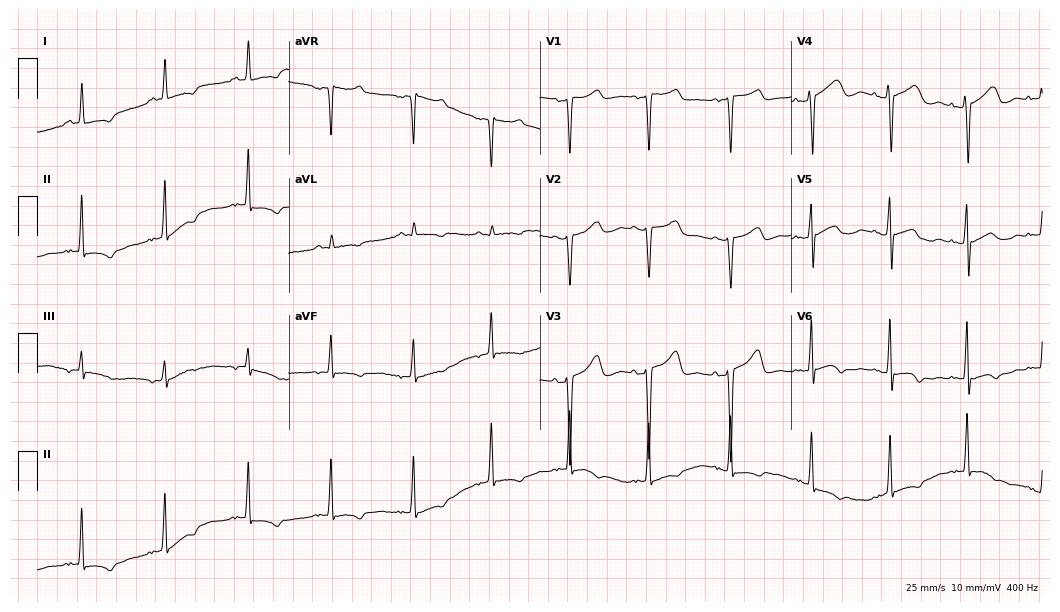
ECG — a 40-year-old female patient. Labelled as a normal ECG.